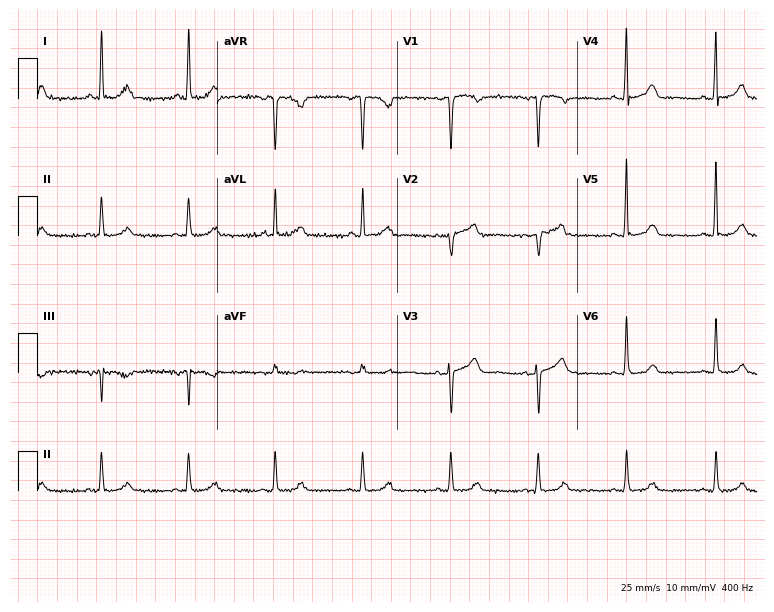
12-lead ECG (7.3-second recording at 400 Hz) from a 70-year-old female patient. Labelled as a normal ECG.